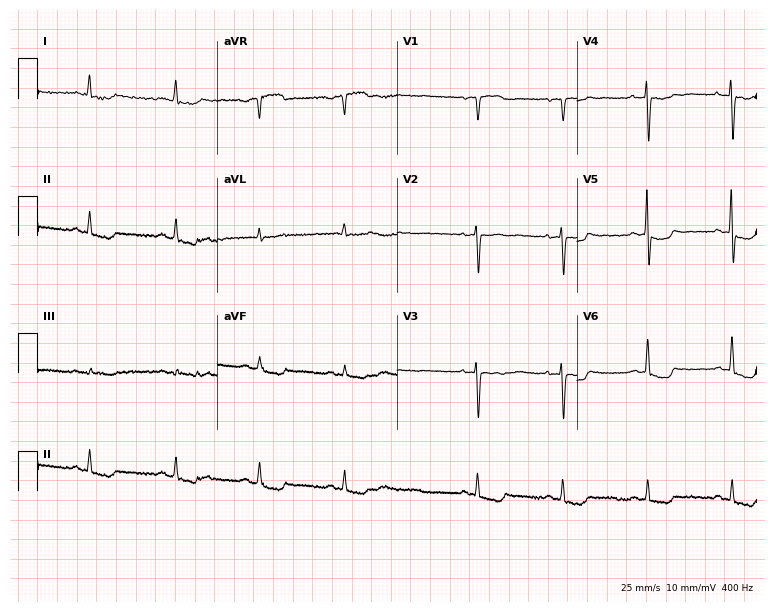
Resting 12-lead electrocardiogram. Patient: a female, 81 years old. None of these six findings is recorded: first-degree AV block, right bundle branch block, left bundle branch block, sinus bradycardia, atrial fibrillation, sinus tachycardia. Other findings, if any, are not listed.